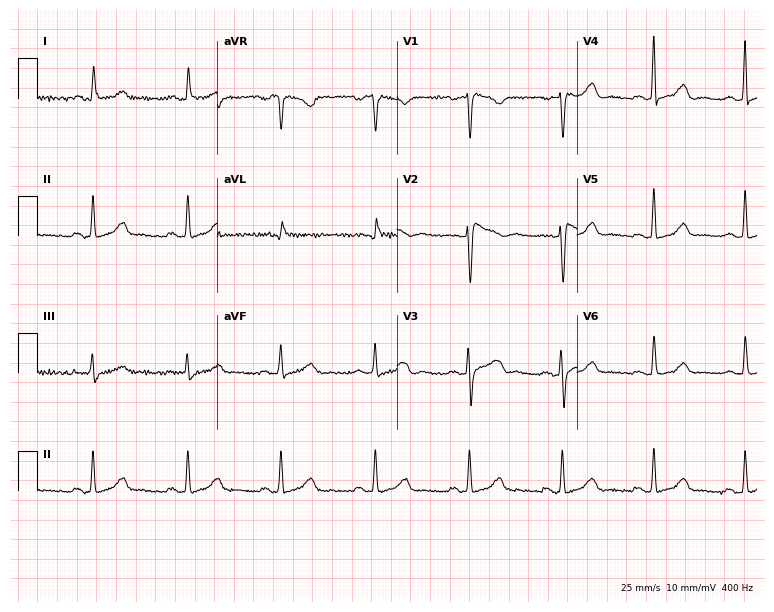
12-lead ECG from a 58-year-old female patient. Screened for six findings — first-degree AV block, right bundle branch block, left bundle branch block, sinus bradycardia, atrial fibrillation, sinus tachycardia — none is recorded.